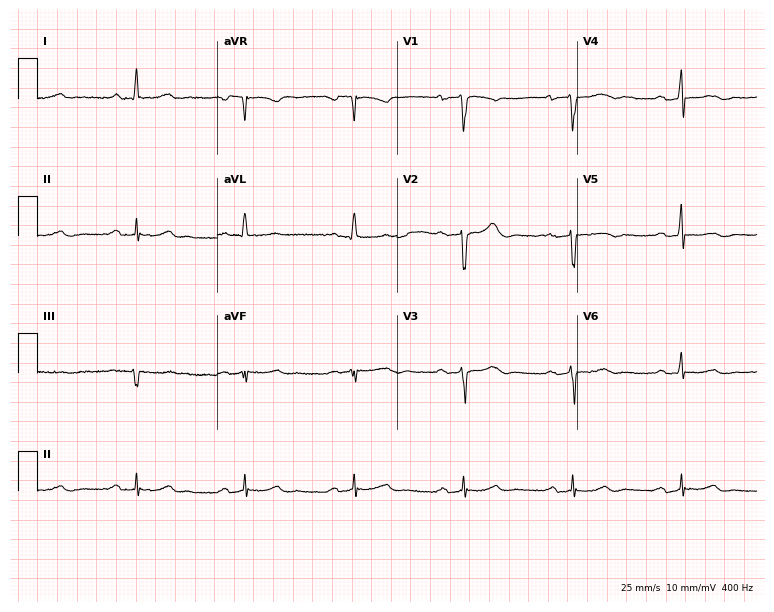
Standard 12-lead ECG recorded from a 79-year-old man. The tracing shows first-degree AV block.